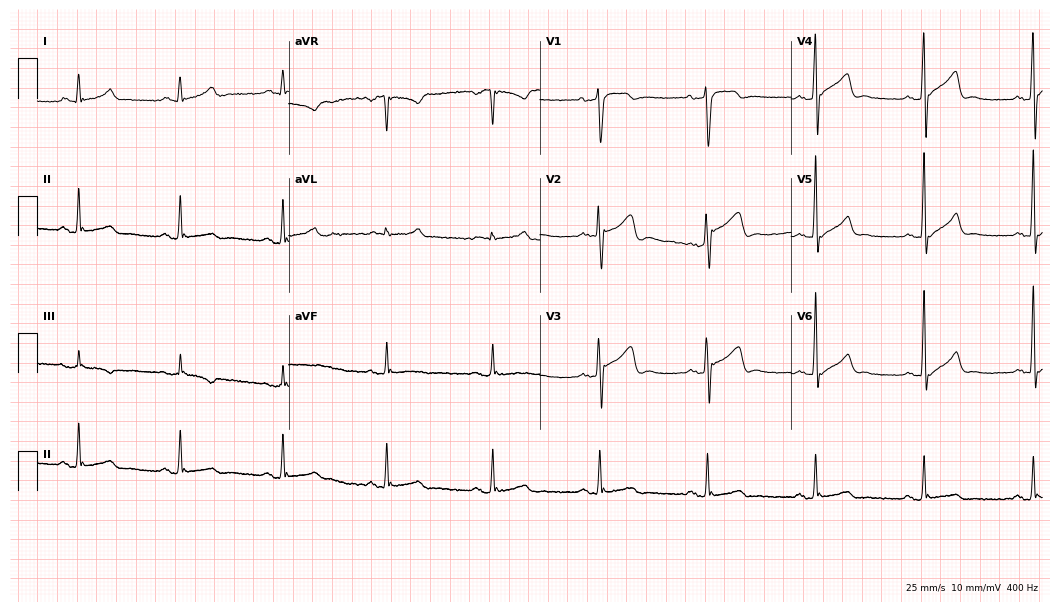
ECG — a 48-year-old male. Labelled as a normal ECG.